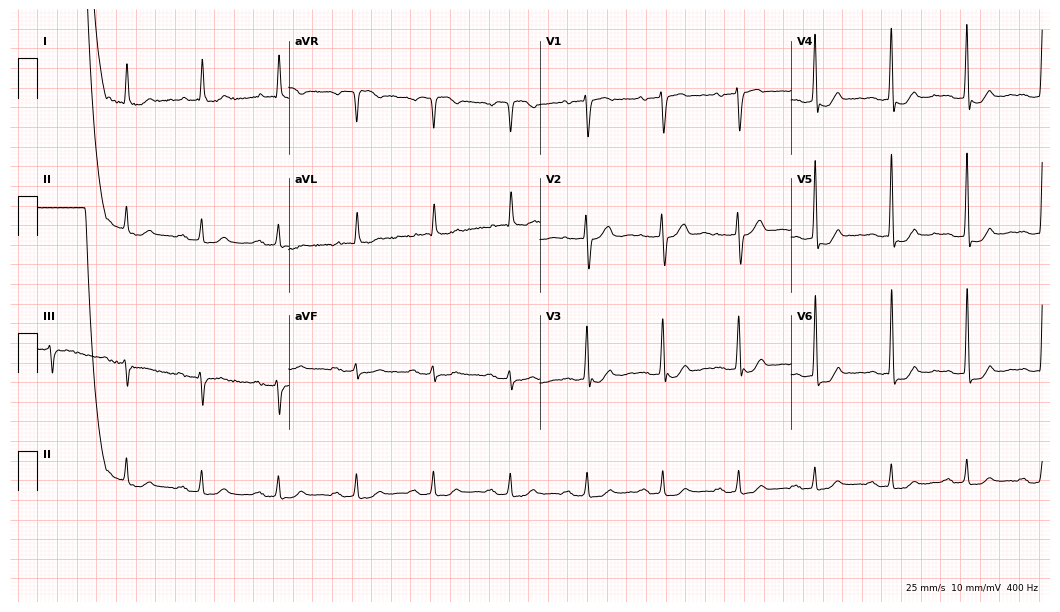
12-lead ECG from a female, 80 years old (10.2-second recording at 400 Hz). Shows first-degree AV block, atrial fibrillation (AF).